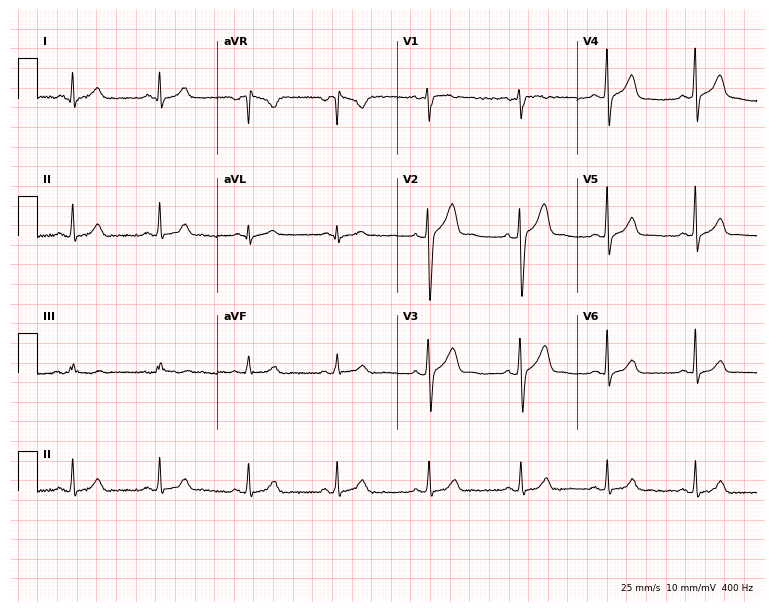
12-lead ECG (7.3-second recording at 400 Hz) from a 29-year-old male. Labelled as a normal ECG.